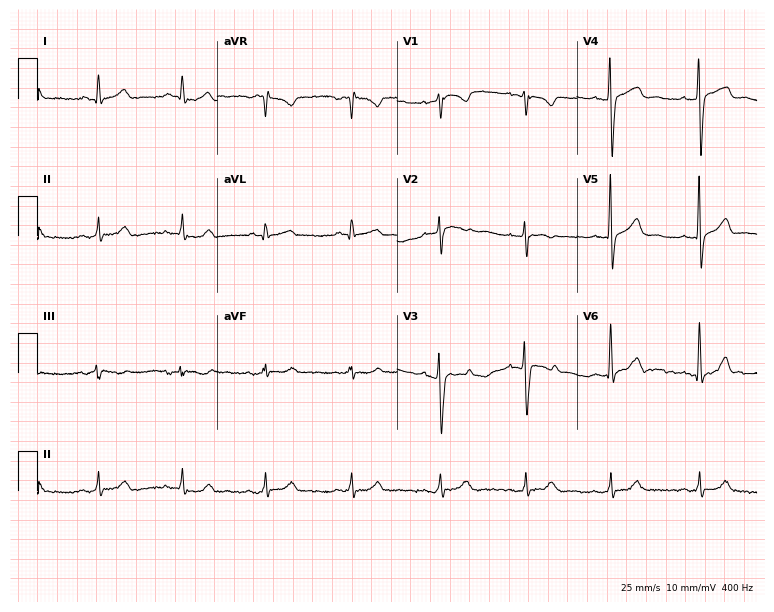
Electrocardiogram (7.3-second recording at 400 Hz), a 36-year-old male patient. Overall reading on record: normal ECG.